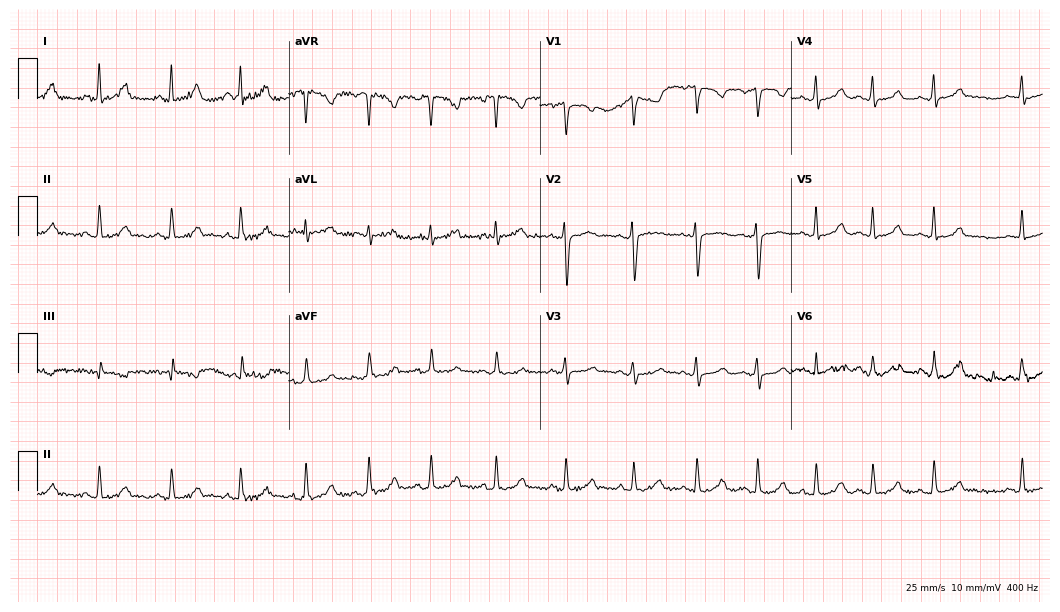
Electrocardiogram (10.2-second recording at 400 Hz), a 27-year-old female. Of the six screened findings (first-degree AV block, right bundle branch block, left bundle branch block, sinus bradycardia, atrial fibrillation, sinus tachycardia), none is recorded. Other findings, if any, are not listed.